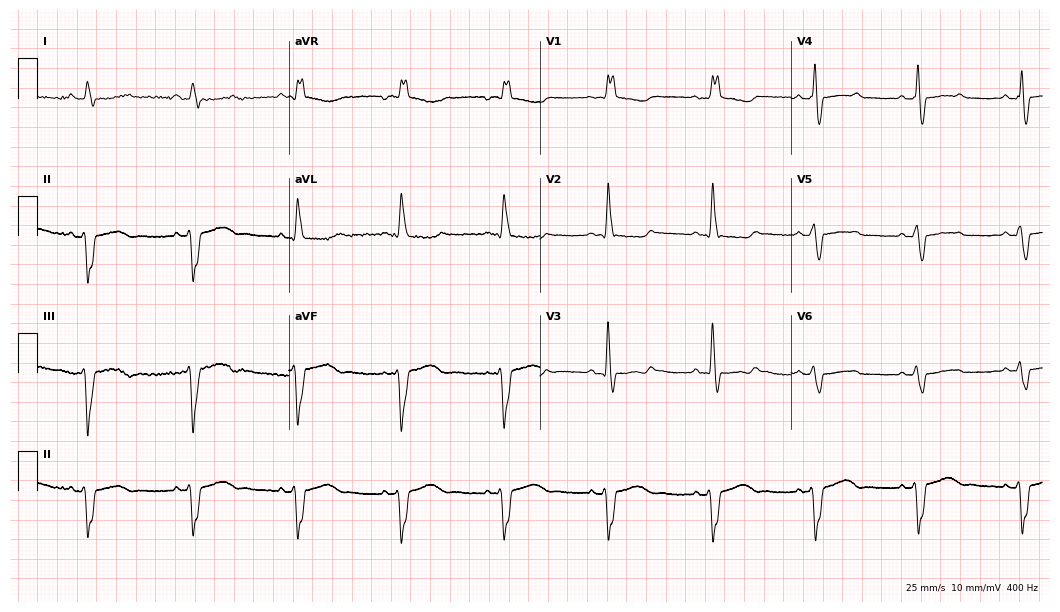
Standard 12-lead ECG recorded from a 63-year-old woman (10.2-second recording at 400 Hz). None of these six findings is recorded: first-degree AV block, right bundle branch block, left bundle branch block, sinus bradycardia, atrial fibrillation, sinus tachycardia. Other findings, if any, are not listed.